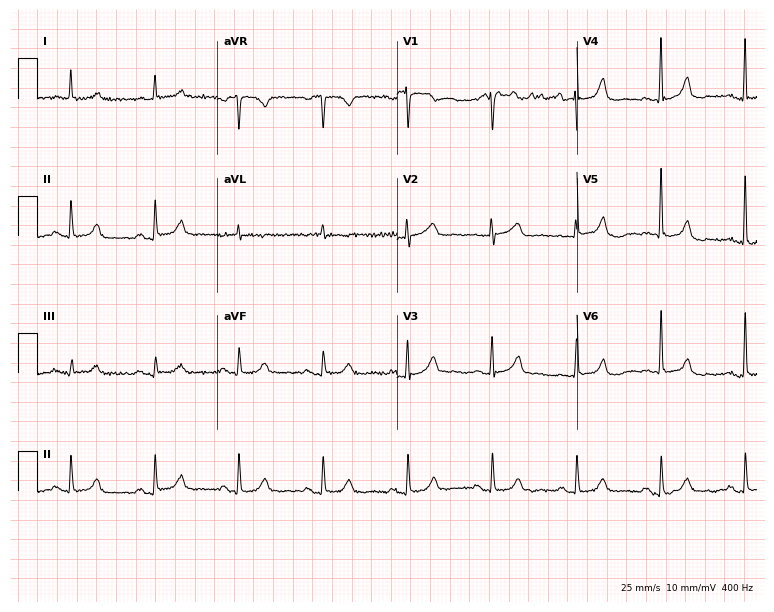
Electrocardiogram (7.3-second recording at 400 Hz), an 82-year-old female patient. Of the six screened findings (first-degree AV block, right bundle branch block, left bundle branch block, sinus bradycardia, atrial fibrillation, sinus tachycardia), none is recorded. Other findings, if any, are not listed.